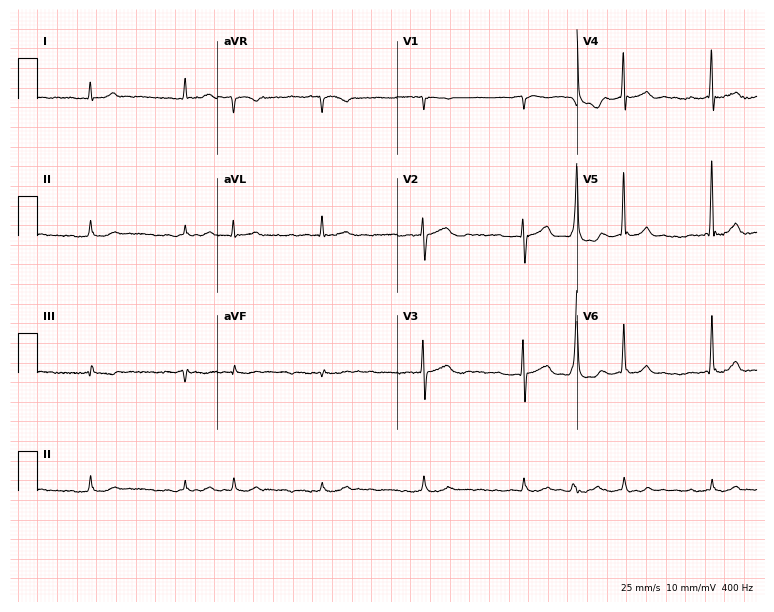
Standard 12-lead ECG recorded from a man, 84 years old. None of these six findings is recorded: first-degree AV block, right bundle branch block (RBBB), left bundle branch block (LBBB), sinus bradycardia, atrial fibrillation (AF), sinus tachycardia.